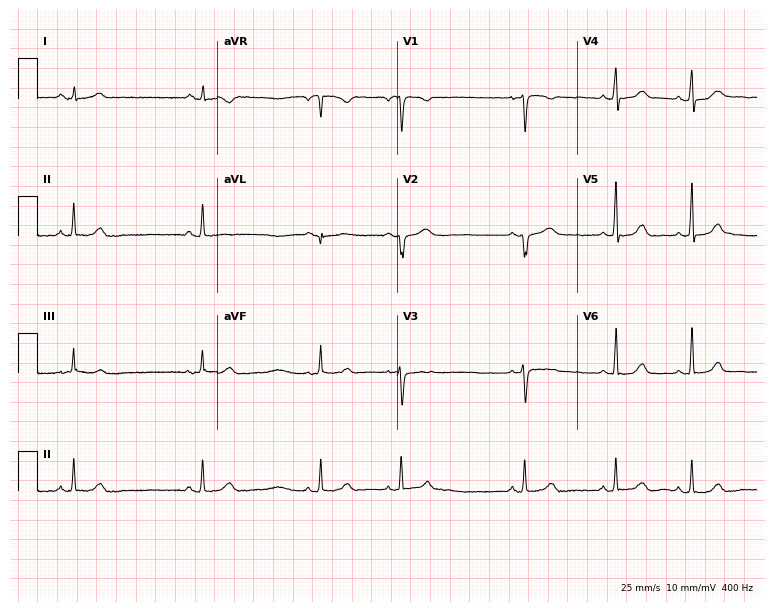
ECG — a 19-year-old female patient. Screened for six findings — first-degree AV block, right bundle branch block (RBBB), left bundle branch block (LBBB), sinus bradycardia, atrial fibrillation (AF), sinus tachycardia — none is recorded. Findings outside these six are not listed.